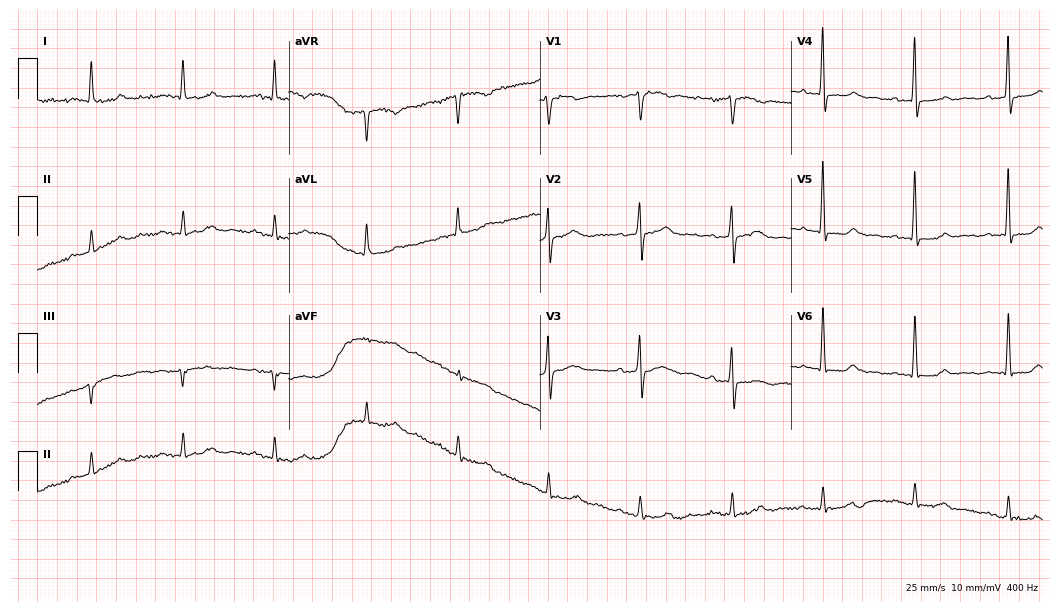
12-lead ECG from a 64-year-old male (10.2-second recording at 400 Hz). Recorded interpretation: within normal limits.